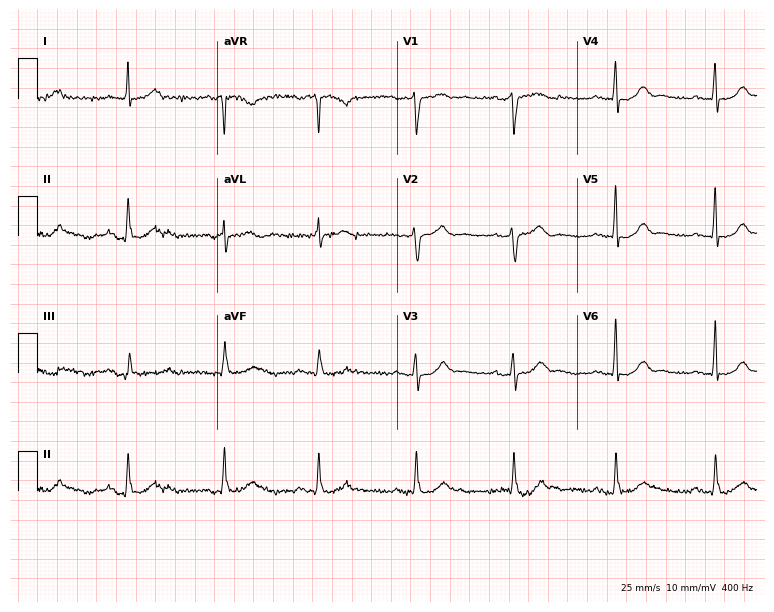
12-lead ECG from a 73-year-old female patient. Recorded interpretation: within normal limits.